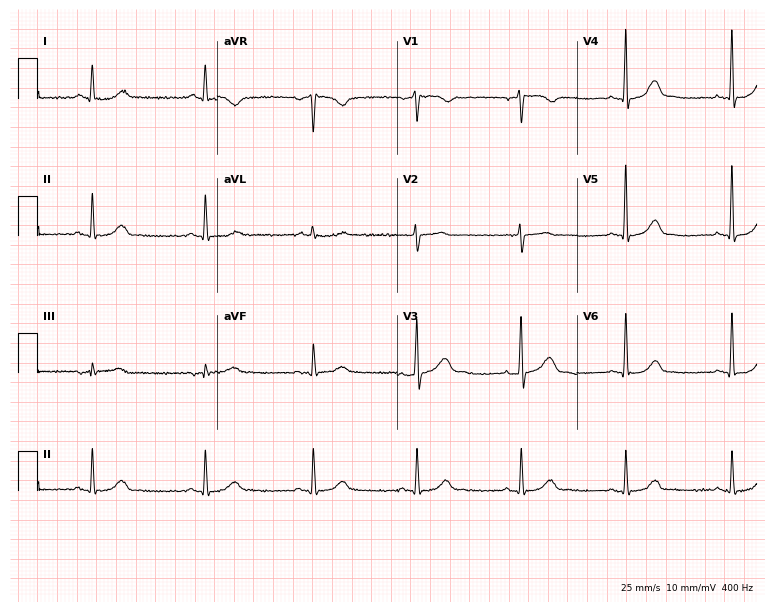
ECG — a 61-year-old man. Labelled as a normal ECG.